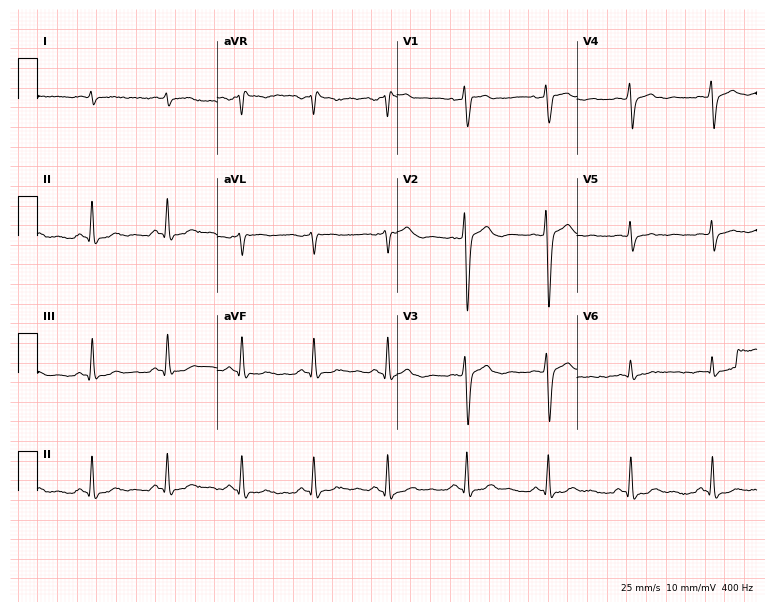
12-lead ECG from a 23-year-old male (7.3-second recording at 400 Hz). No first-degree AV block, right bundle branch block, left bundle branch block, sinus bradycardia, atrial fibrillation or sinus tachycardia recorded for this tracing. Findings outside these six are not listed.